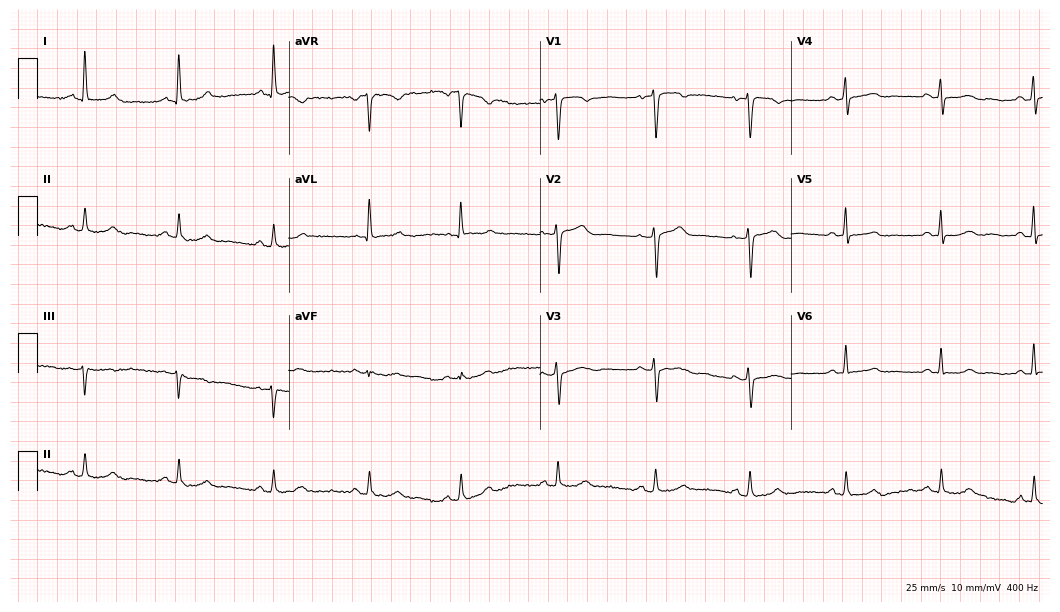
12-lead ECG (10.2-second recording at 400 Hz) from a female patient, 51 years old. Labelled as a normal ECG.